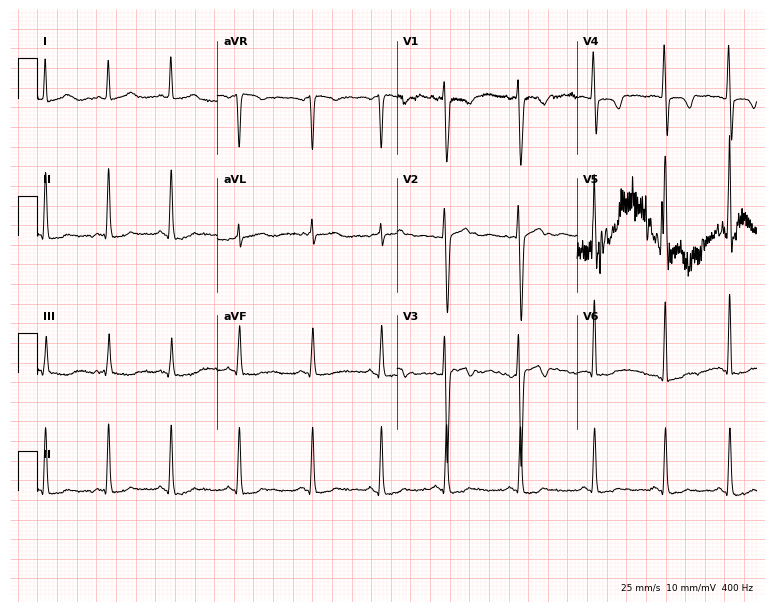
ECG (7.3-second recording at 400 Hz) — a 25-year-old woman. Screened for six findings — first-degree AV block, right bundle branch block, left bundle branch block, sinus bradycardia, atrial fibrillation, sinus tachycardia — none is recorded. Other findings, if any, are not listed.